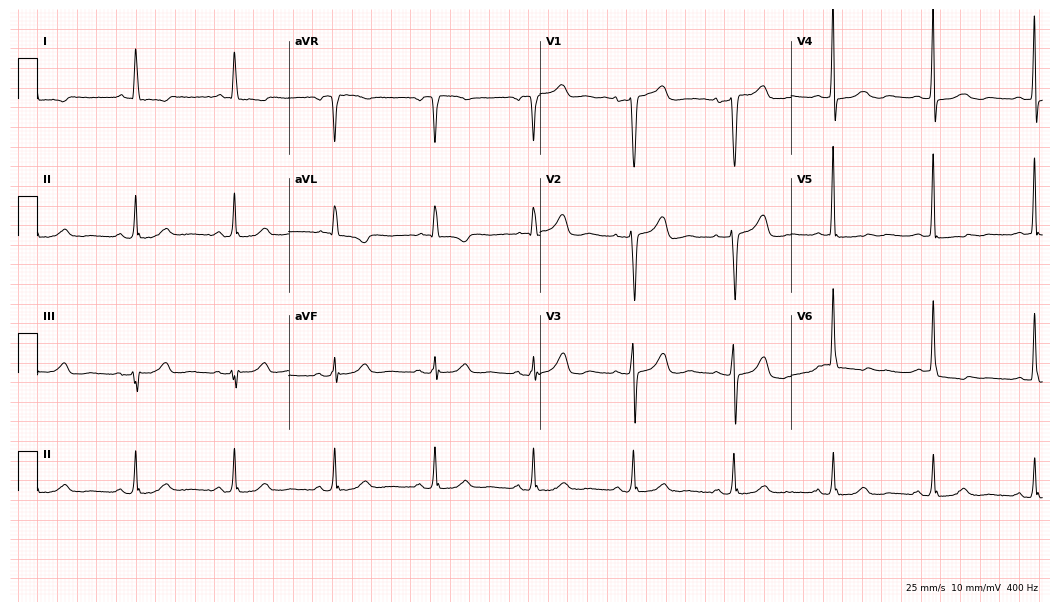
Standard 12-lead ECG recorded from a female patient, 76 years old (10.2-second recording at 400 Hz). None of these six findings is recorded: first-degree AV block, right bundle branch block, left bundle branch block, sinus bradycardia, atrial fibrillation, sinus tachycardia.